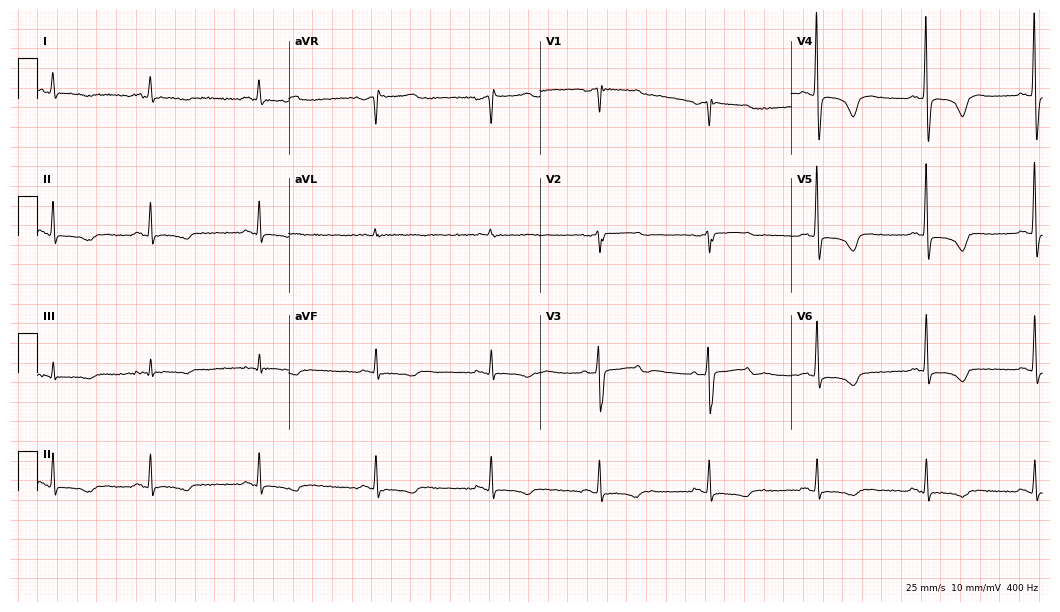
Electrocardiogram (10.2-second recording at 400 Hz), a 64-year-old male patient. Of the six screened findings (first-degree AV block, right bundle branch block, left bundle branch block, sinus bradycardia, atrial fibrillation, sinus tachycardia), none is recorded.